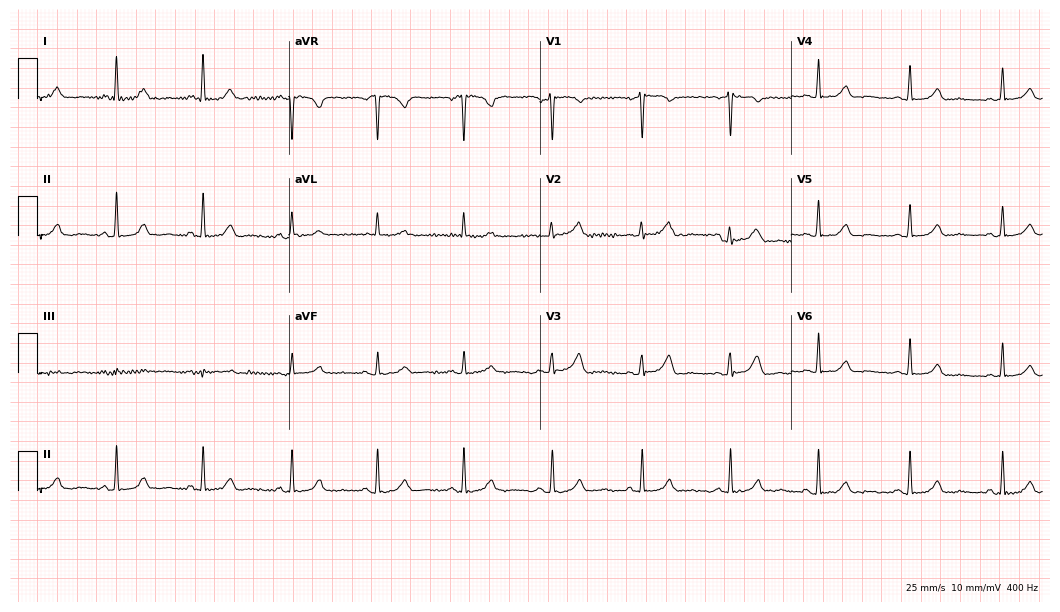
12-lead ECG from a female patient, 52 years old. Labelled as a normal ECG.